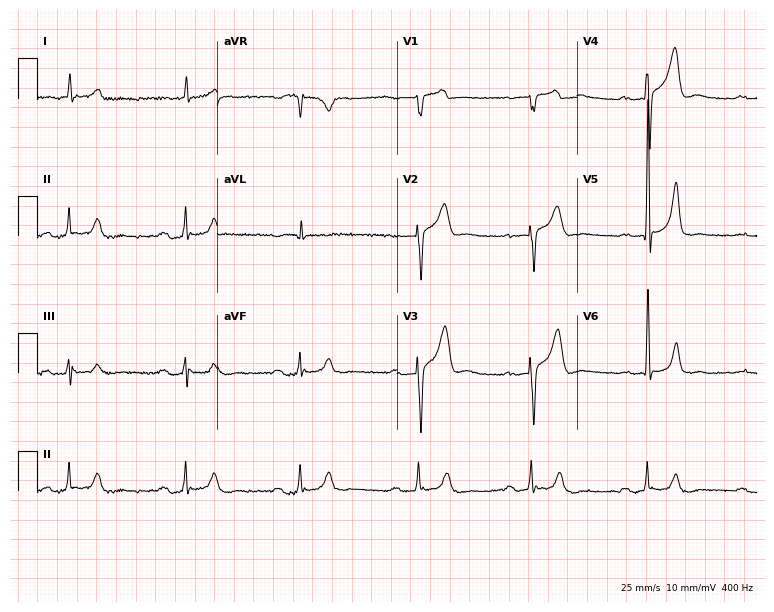
Electrocardiogram (7.3-second recording at 400 Hz), a male, 70 years old. Interpretation includes first-degree AV block.